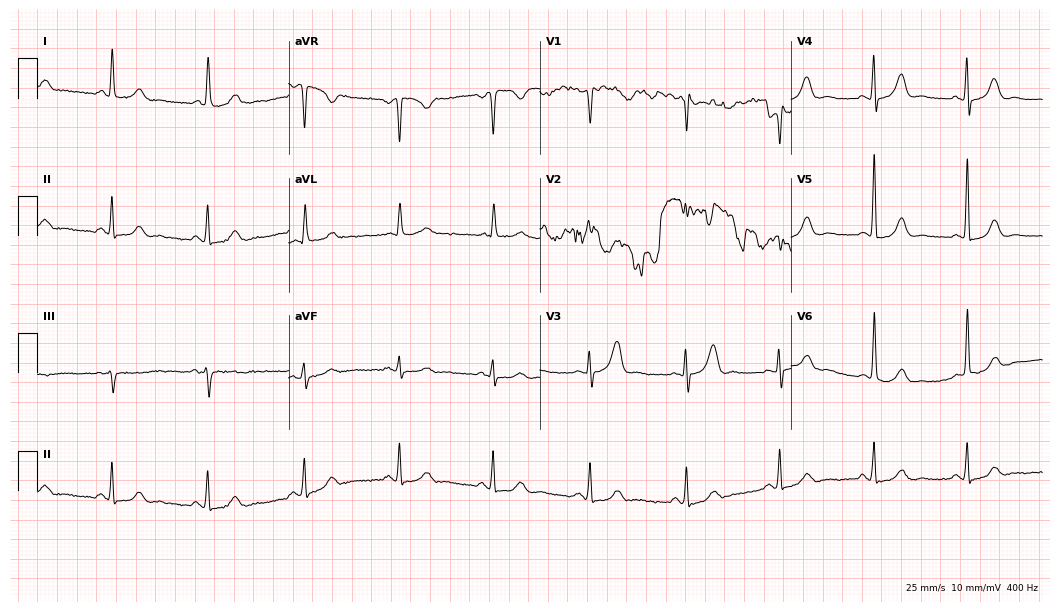
Standard 12-lead ECG recorded from a 78-year-old female patient (10.2-second recording at 400 Hz). None of these six findings is recorded: first-degree AV block, right bundle branch block (RBBB), left bundle branch block (LBBB), sinus bradycardia, atrial fibrillation (AF), sinus tachycardia. Only these six findings were labelled.